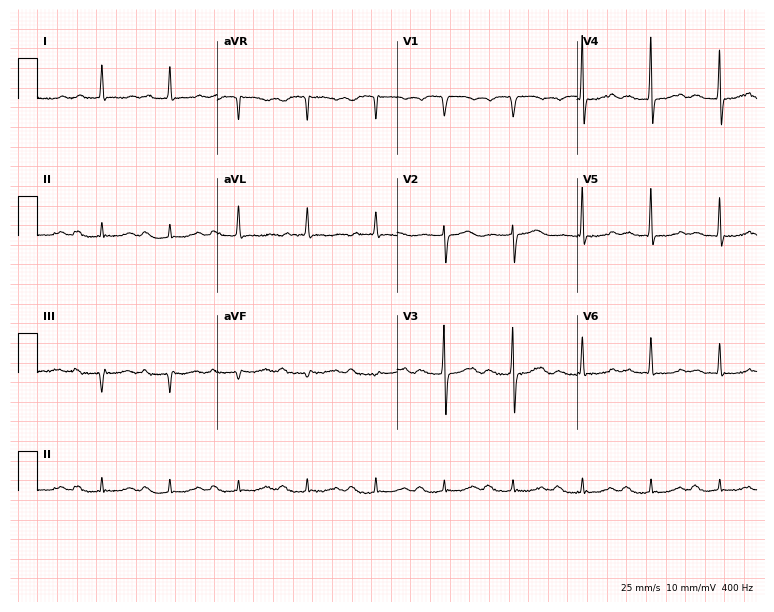
Electrocardiogram (7.3-second recording at 400 Hz), a female patient, 85 years old. Interpretation includes first-degree AV block.